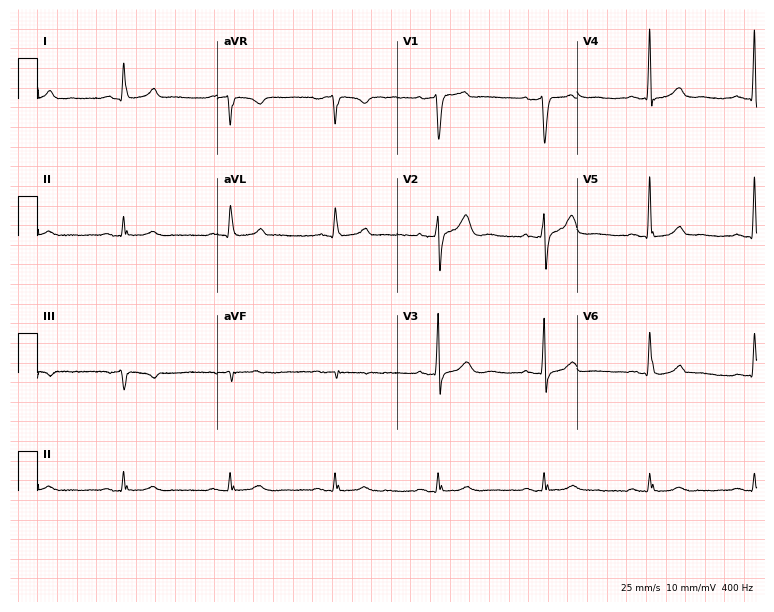
12-lead ECG from a male, 64 years old. Recorded interpretation: within normal limits.